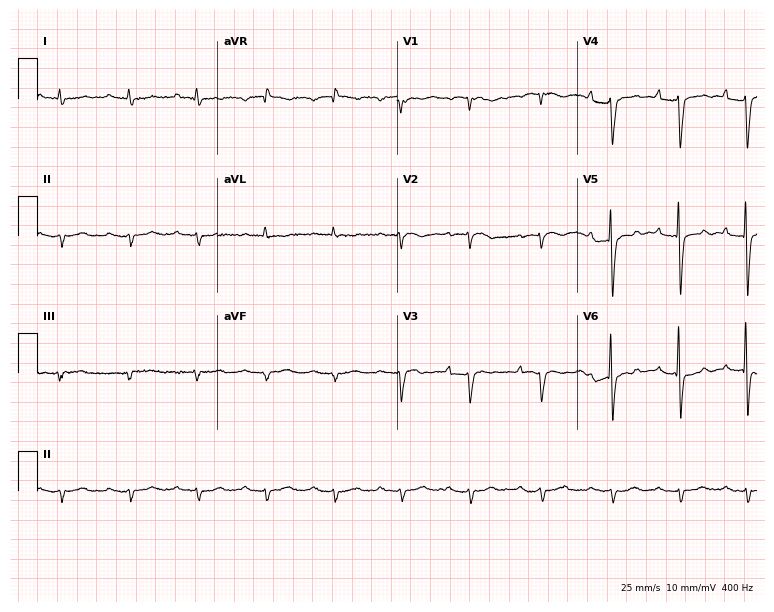
12-lead ECG from a 47-year-old male. No first-degree AV block, right bundle branch block (RBBB), left bundle branch block (LBBB), sinus bradycardia, atrial fibrillation (AF) or sinus tachycardia recorded for this tracing.